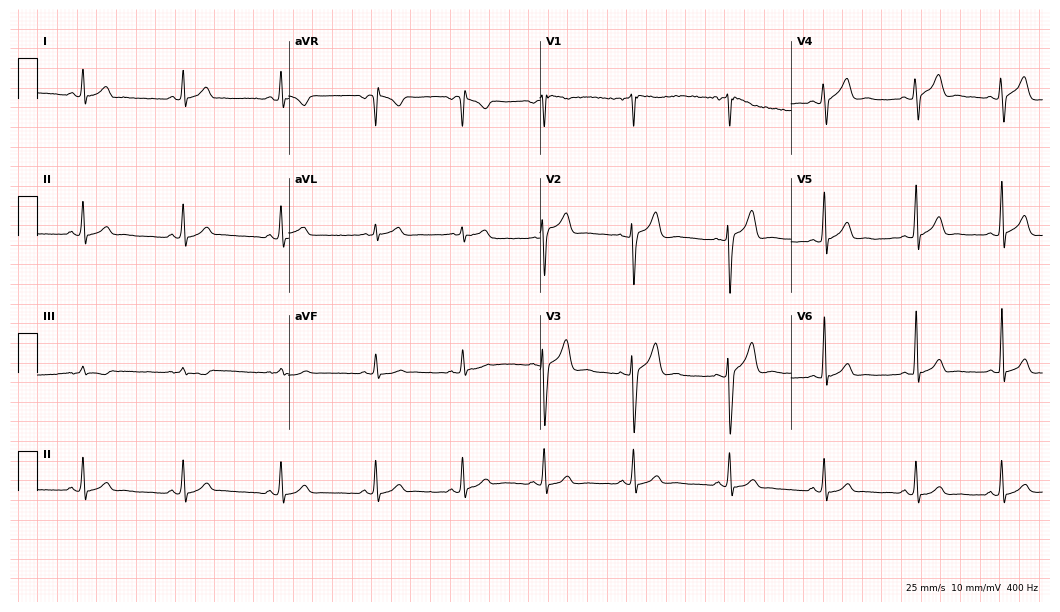
ECG (10.2-second recording at 400 Hz) — a male patient, 25 years old. Labelled as a normal ECG.